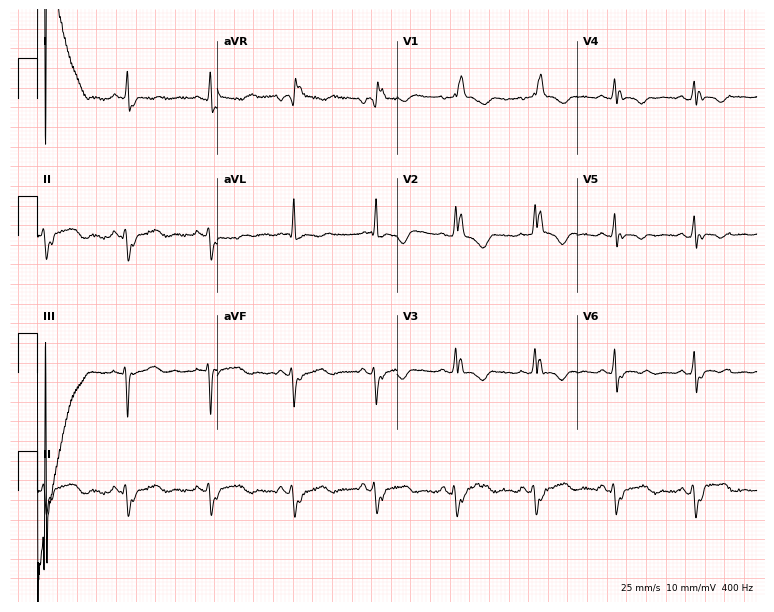
12-lead ECG from a 52-year-old female patient. Findings include right bundle branch block.